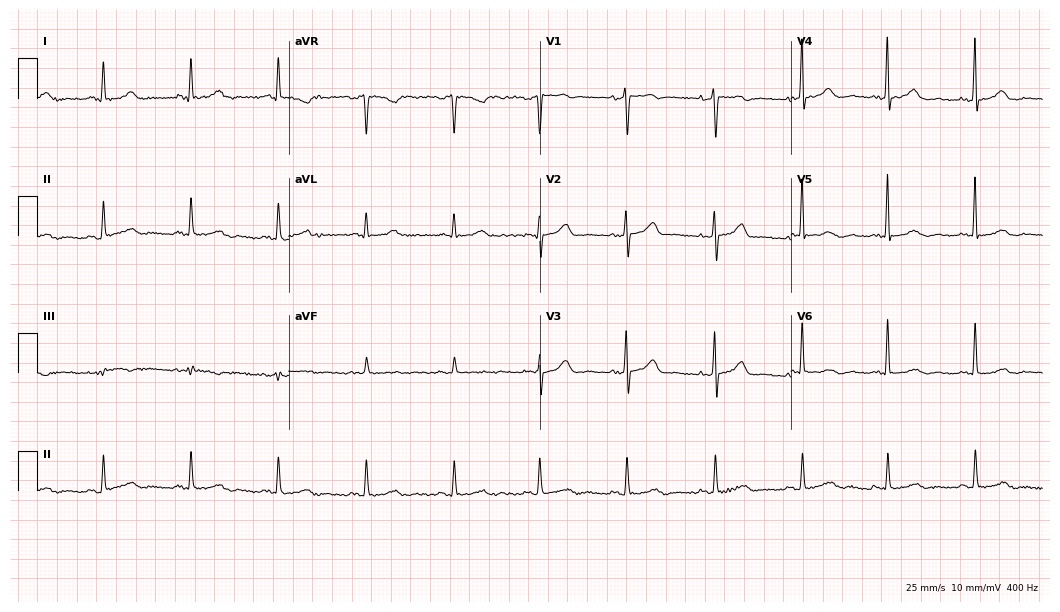
12-lead ECG from a 59-year-old female patient (10.2-second recording at 400 Hz). Recorded interpretation: within normal limits.